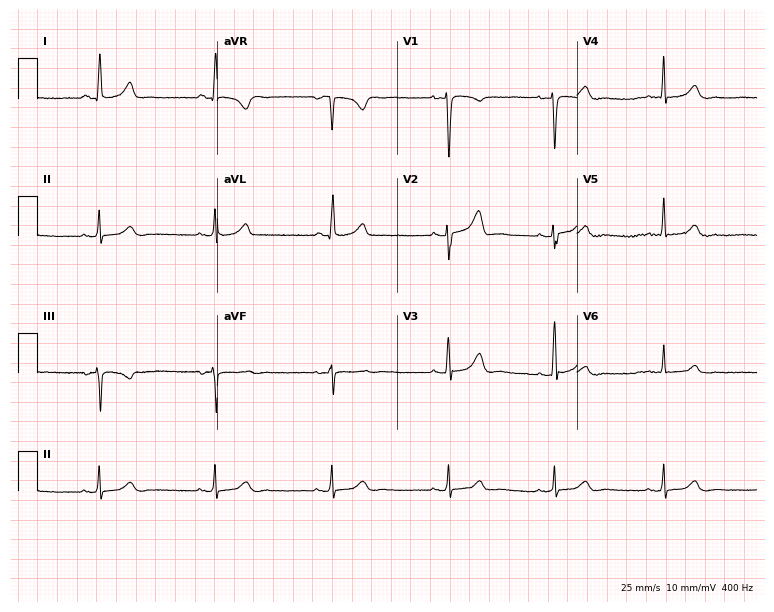
ECG (7.3-second recording at 400 Hz) — a female, 37 years old. Screened for six findings — first-degree AV block, right bundle branch block, left bundle branch block, sinus bradycardia, atrial fibrillation, sinus tachycardia — none is recorded. Other findings, if any, are not listed.